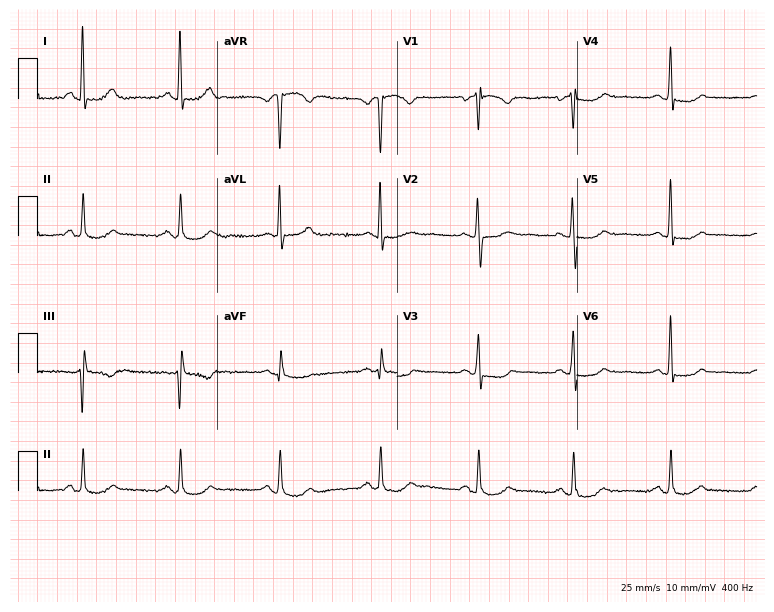
Standard 12-lead ECG recorded from a 65-year-old female (7.3-second recording at 400 Hz). None of these six findings is recorded: first-degree AV block, right bundle branch block, left bundle branch block, sinus bradycardia, atrial fibrillation, sinus tachycardia.